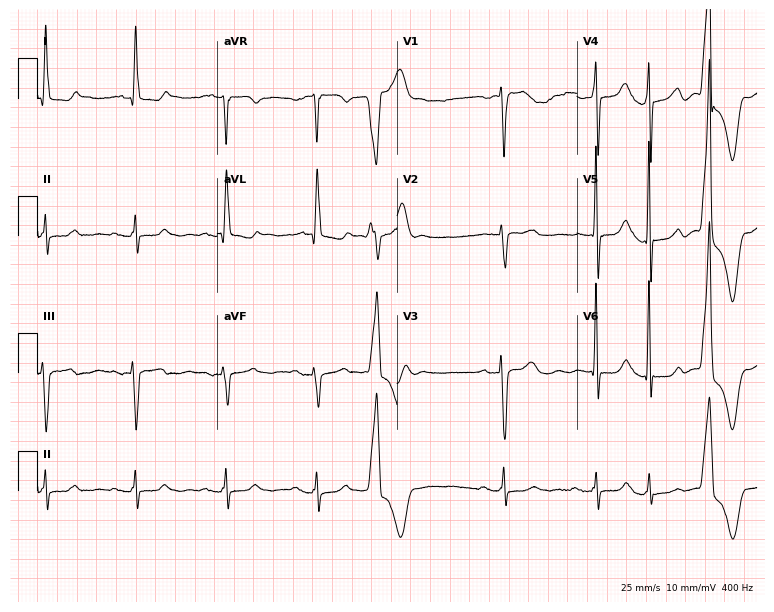
12-lead ECG from a female patient, 85 years old (7.3-second recording at 400 Hz). No first-degree AV block, right bundle branch block (RBBB), left bundle branch block (LBBB), sinus bradycardia, atrial fibrillation (AF) or sinus tachycardia recorded for this tracing.